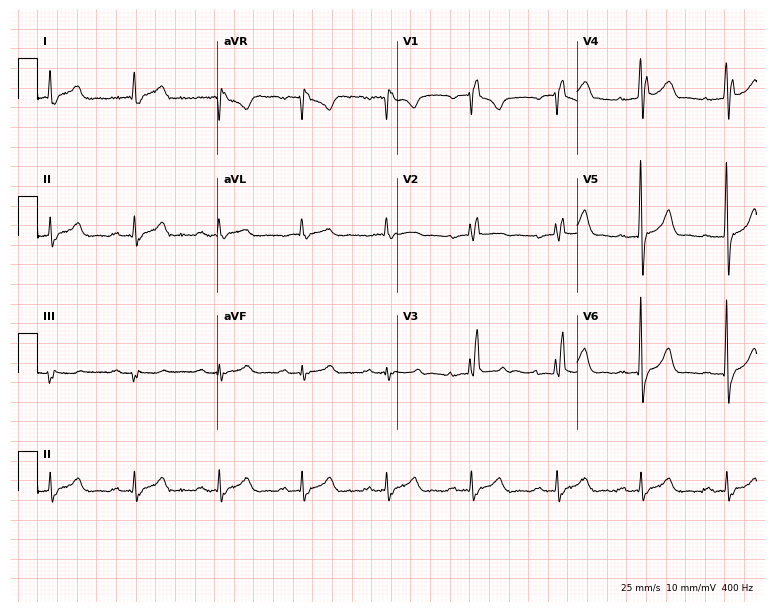
Electrocardiogram (7.3-second recording at 400 Hz), a 64-year-old man. Interpretation includes first-degree AV block, right bundle branch block (RBBB).